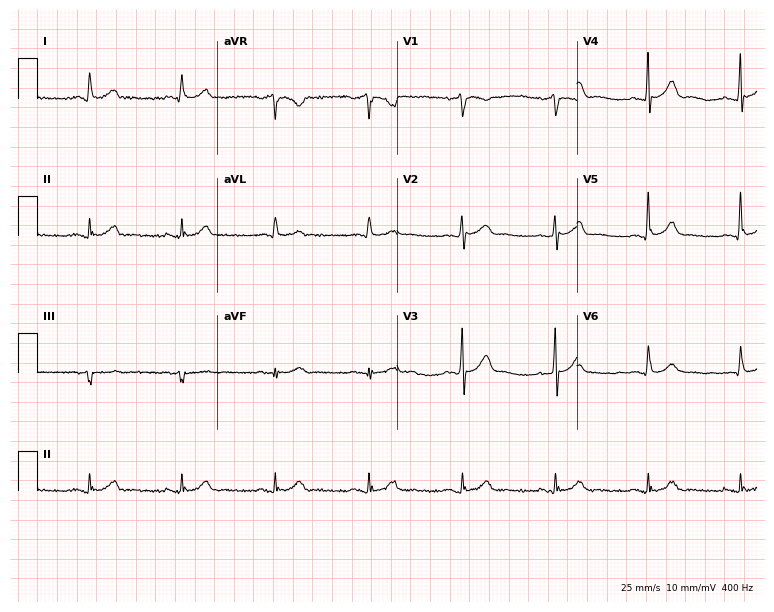
Resting 12-lead electrocardiogram. Patient: a male, 56 years old. Read as a normal ECG.